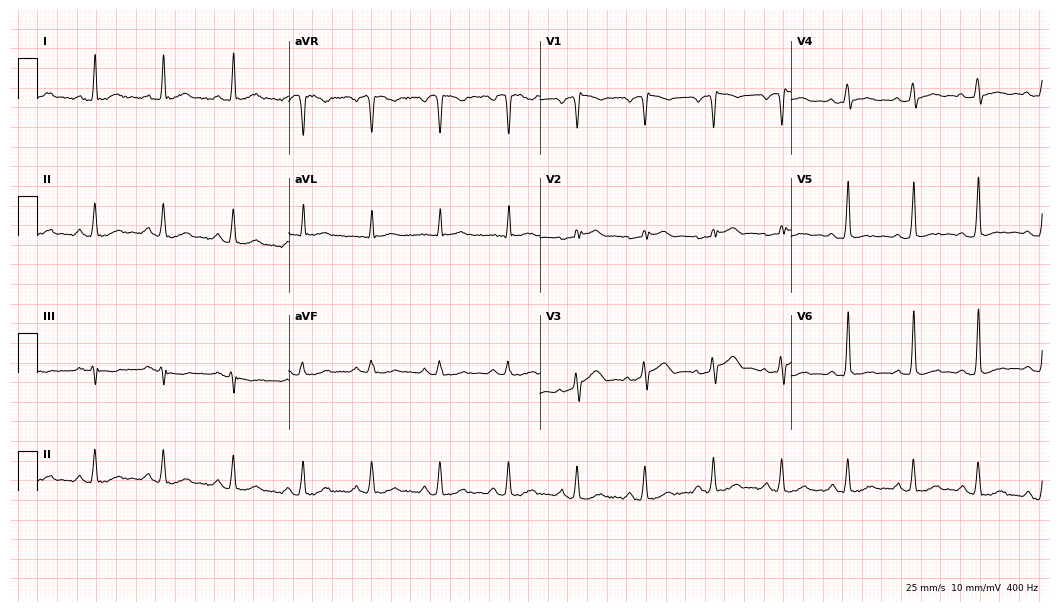
12-lead ECG from a male, 52 years old (10.2-second recording at 400 Hz). No first-degree AV block, right bundle branch block, left bundle branch block, sinus bradycardia, atrial fibrillation or sinus tachycardia recorded for this tracing.